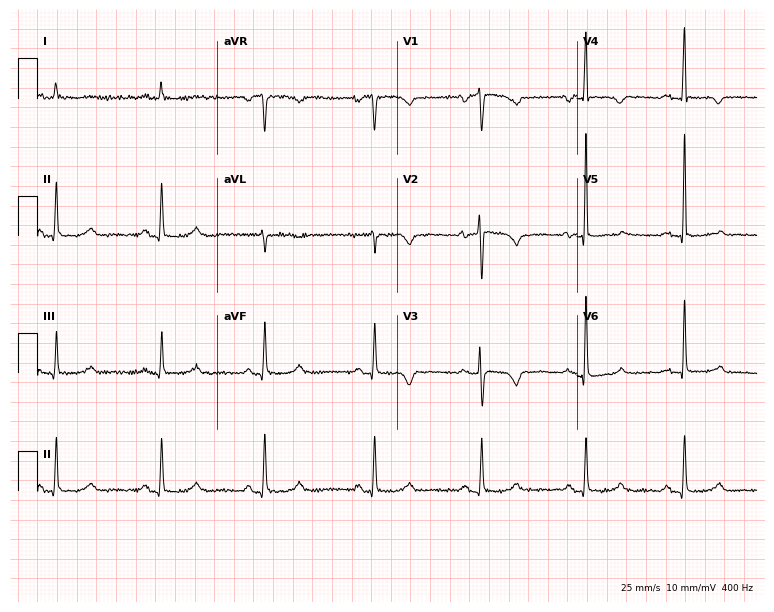
Electrocardiogram, a 71-year-old woman. Of the six screened findings (first-degree AV block, right bundle branch block, left bundle branch block, sinus bradycardia, atrial fibrillation, sinus tachycardia), none is recorded.